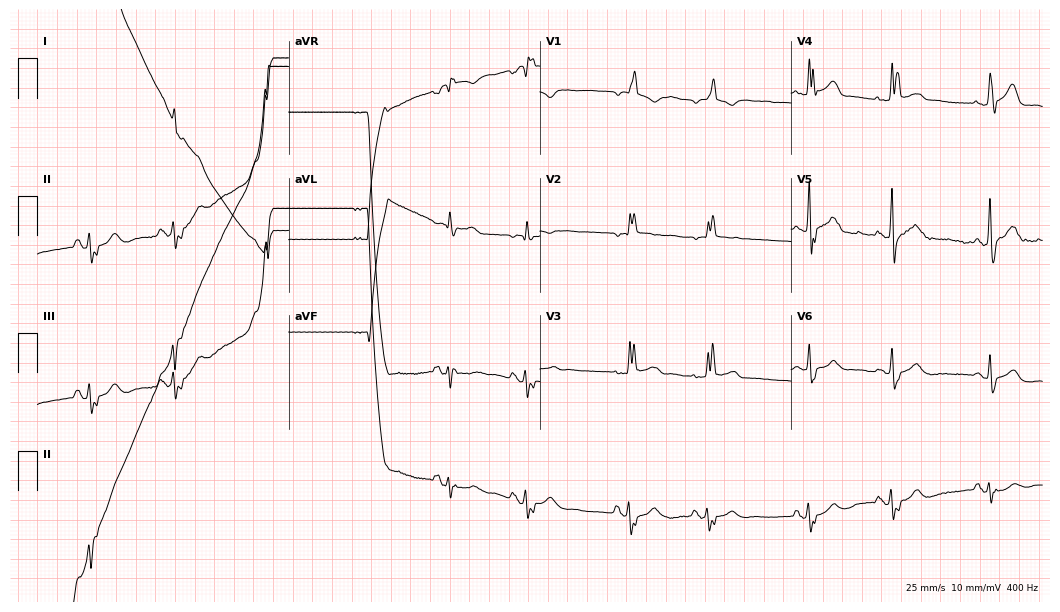
Electrocardiogram, a male patient, 82 years old. Interpretation includes right bundle branch block (RBBB).